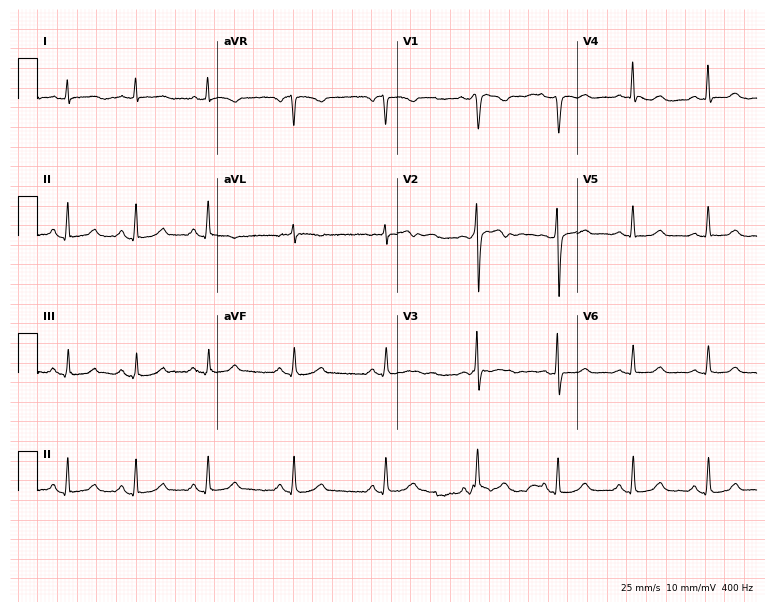
ECG — a female patient, 52 years old. Screened for six findings — first-degree AV block, right bundle branch block, left bundle branch block, sinus bradycardia, atrial fibrillation, sinus tachycardia — none is recorded.